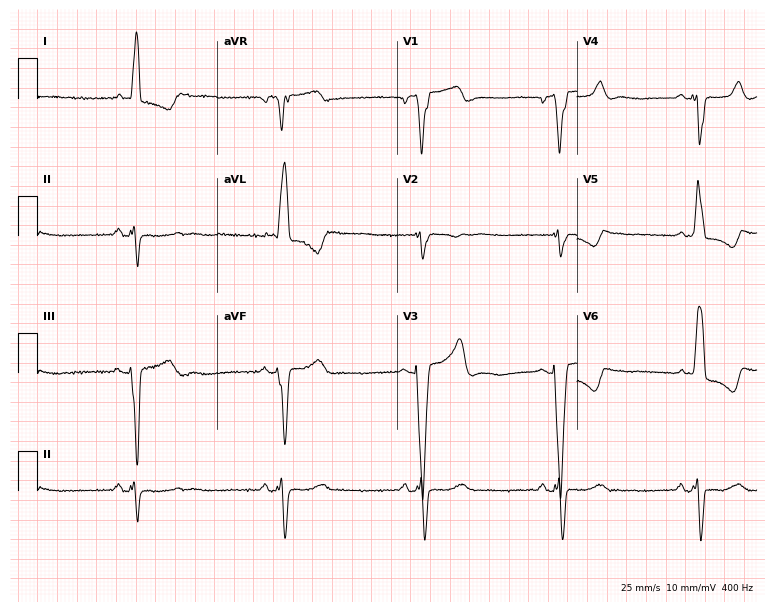
Standard 12-lead ECG recorded from an 81-year-old woman. The tracing shows left bundle branch block (LBBB), sinus bradycardia (a sinus rate of 50 beats per minute or less).